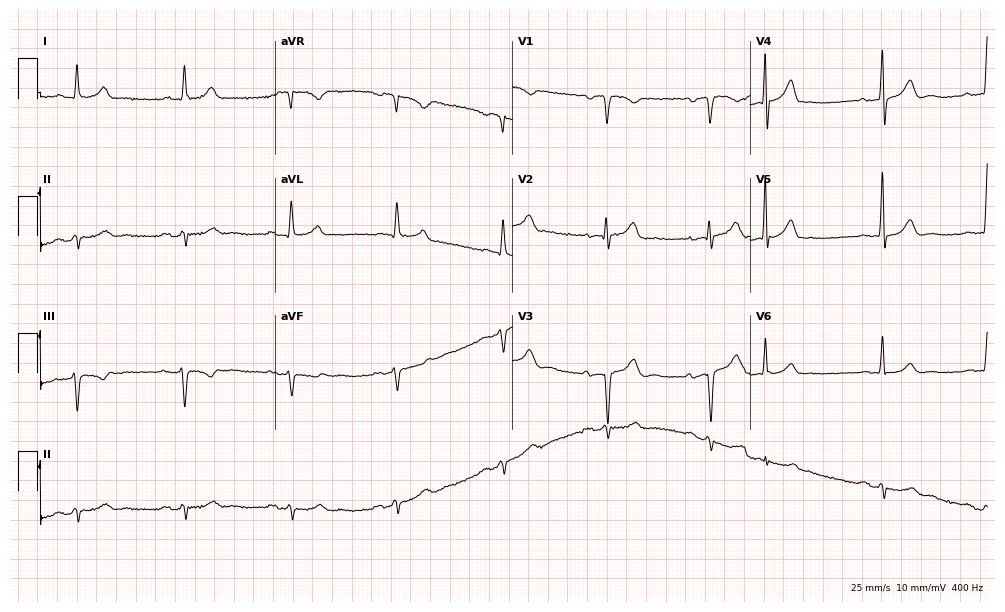
Electrocardiogram, a 75-year-old man. Of the six screened findings (first-degree AV block, right bundle branch block (RBBB), left bundle branch block (LBBB), sinus bradycardia, atrial fibrillation (AF), sinus tachycardia), none is recorded. Findings outside these six are not listed.